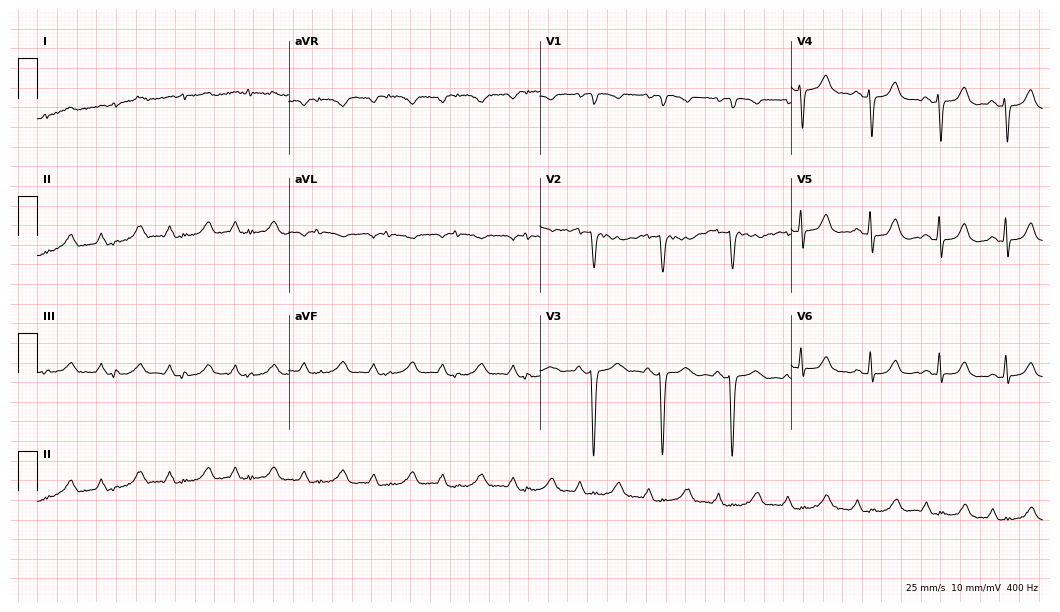
Standard 12-lead ECG recorded from a male patient, 76 years old. None of these six findings is recorded: first-degree AV block, right bundle branch block, left bundle branch block, sinus bradycardia, atrial fibrillation, sinus tachycardia. Findings outside these six are not listed.